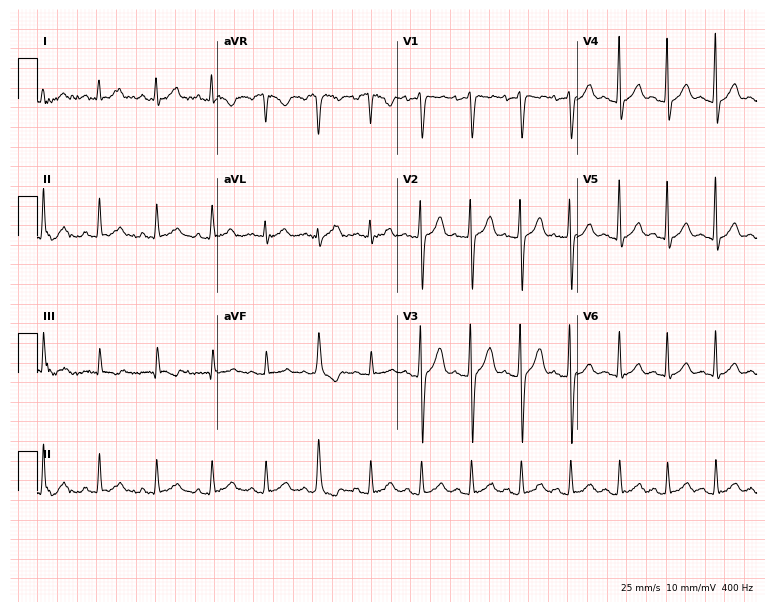
12-lead ECG (7.3-second recording at 400 Hz) from a 24-year-old male patient. Findings include sinus tachycardia (a sinus rate of 100 beats per minute or more).